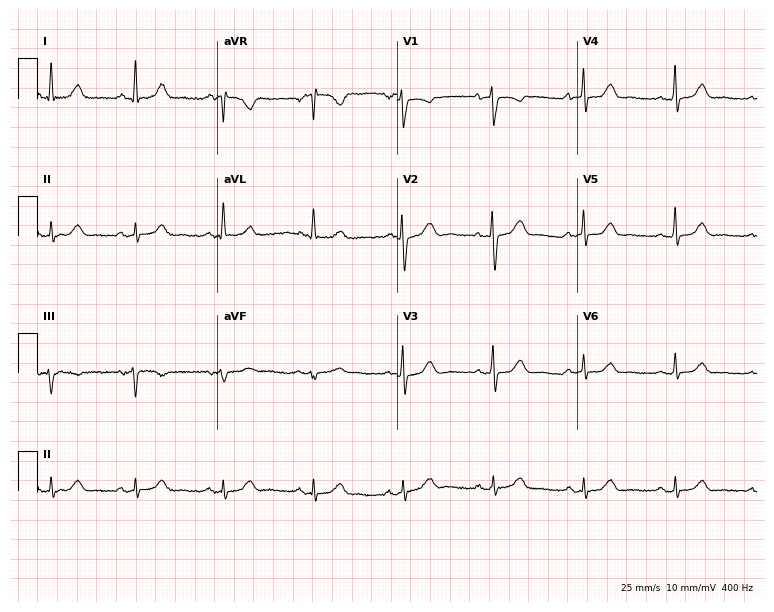
Resting 12-lead electrocardiogram. Patient: a female, 70 years old. Read as a normal ECG.